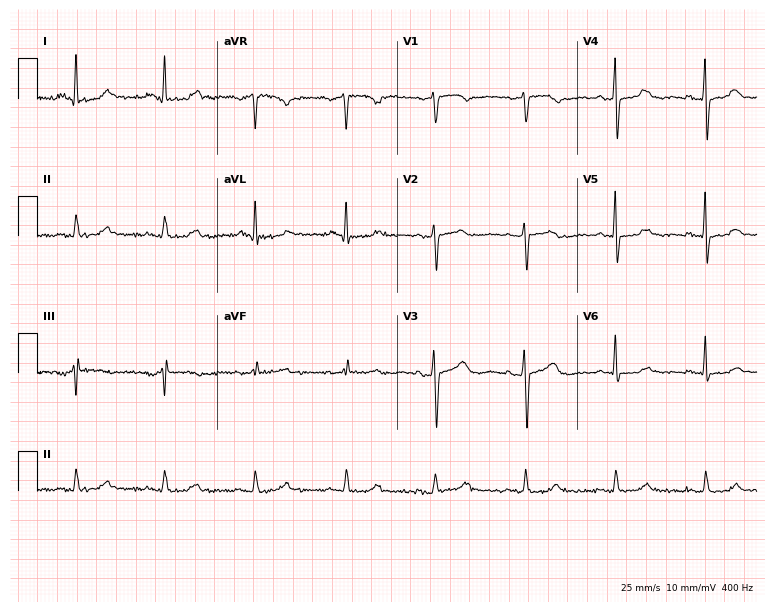
ECG (7.3-second recording at 400 Hz) — a 52-year-old female patient. Labelled as a normal ECG.